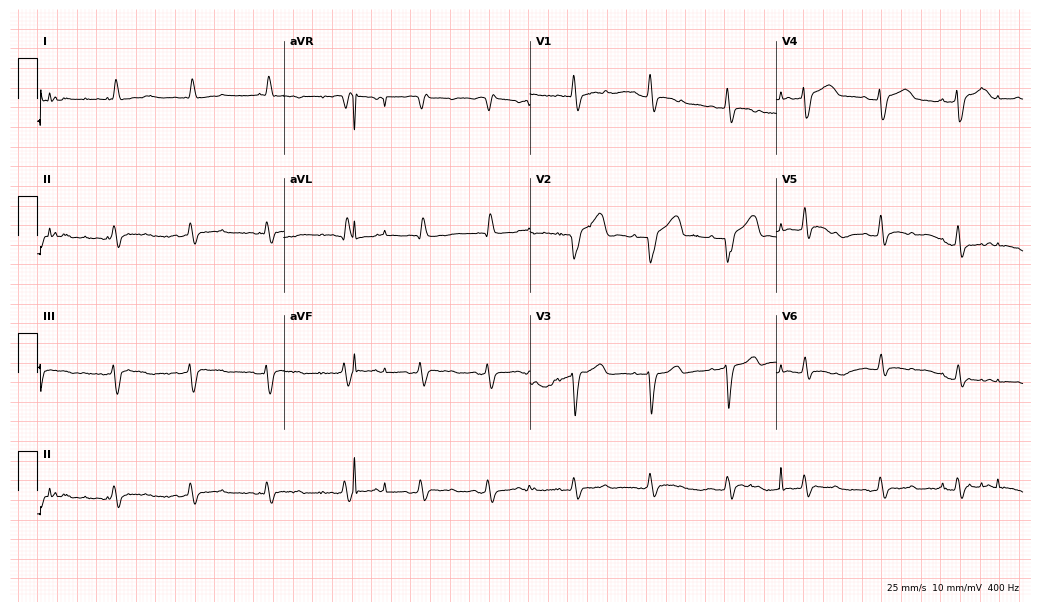
Resting 12-lead electrocardiogram. Patient: an 85-year-old man. None of these six findings is recorded: first-degree AV block, right bundle branch block (RBBB), left bundle branch block (LBBB), sinus bradycardia, atrial fibrillation (AF), sinus tachycardia. Other findings, if any, are not listed.